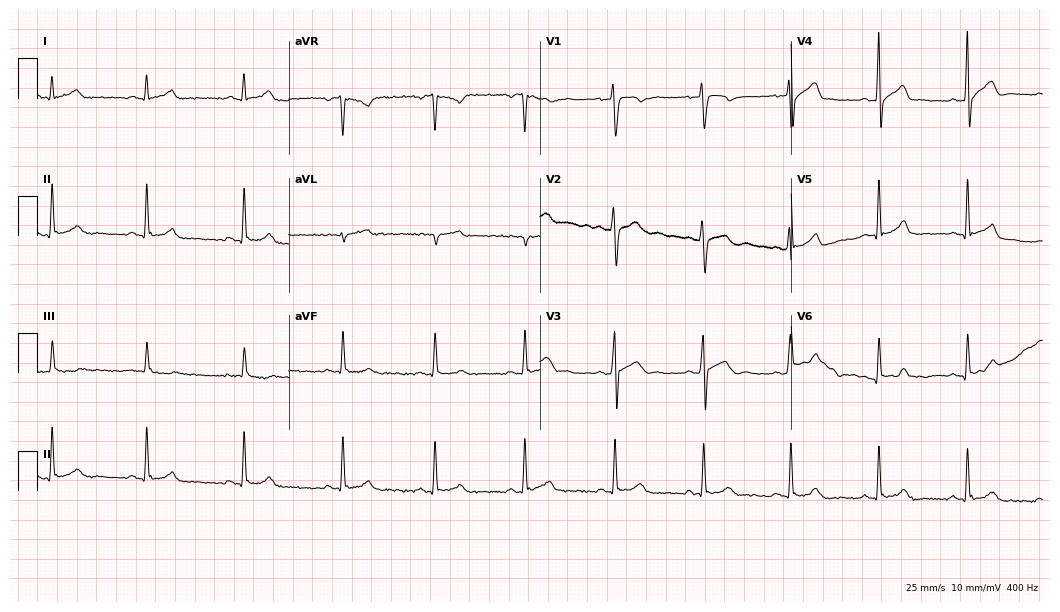
12-lead ECG (10.2-second recording at 400 Hz) from a 27-year-old man. Labelled as a normal ECG.